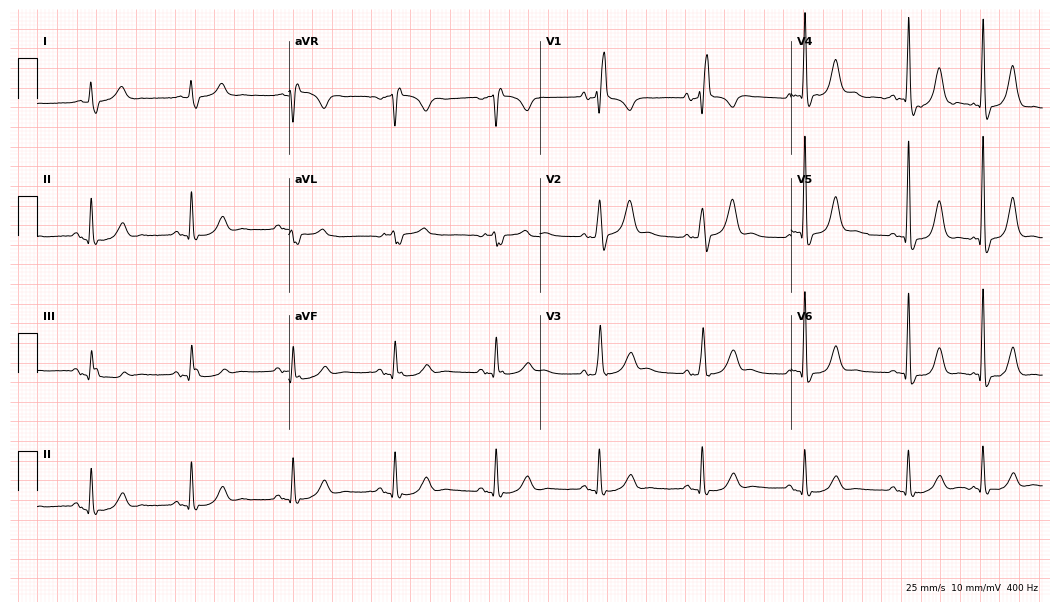
Standard 12-lead ECG recorded from a female patient, 78 years old. The tracing shows right bundle branch block.